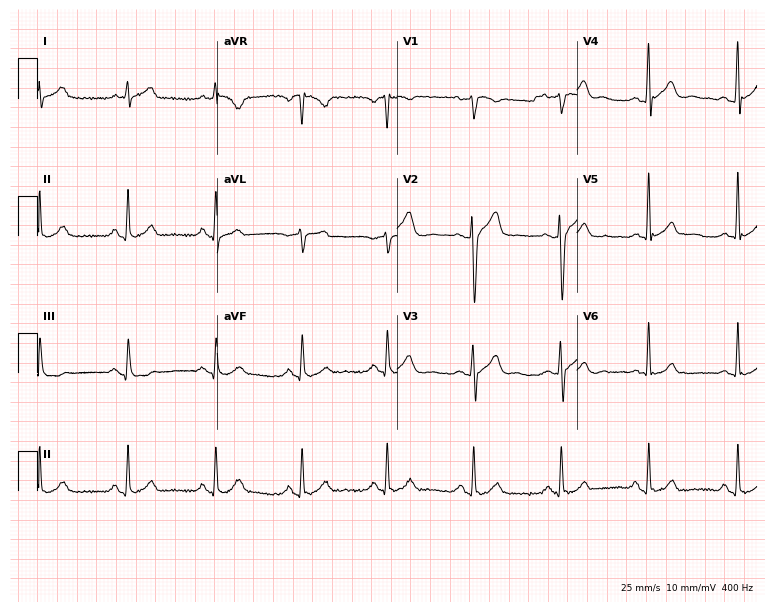
Standard 12-lead ECG recorded from a 38-year-old male. Read as a normal ECG.